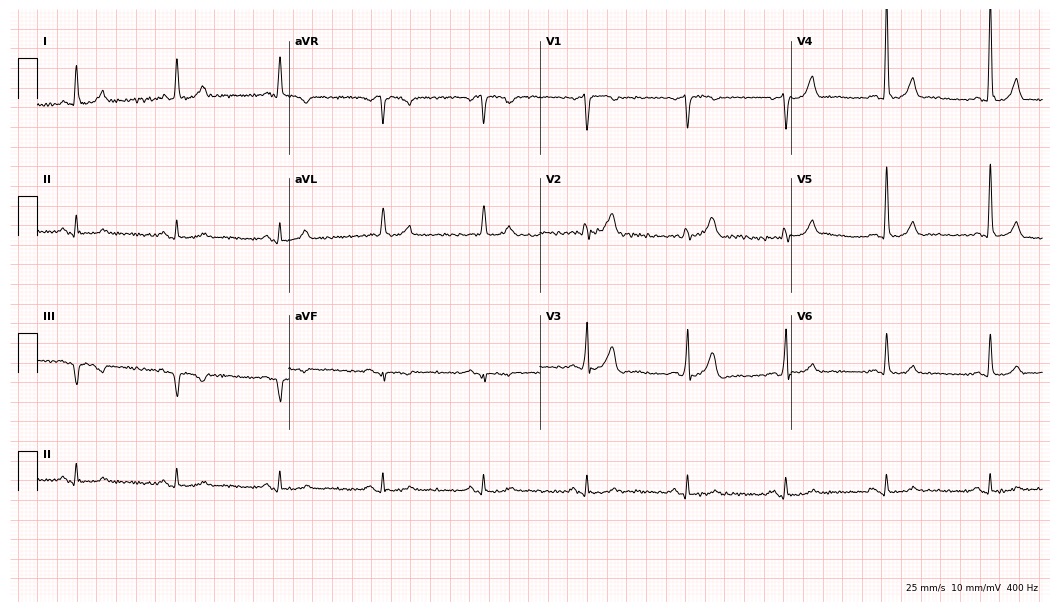
Electrocardiogram (10.2-second recording at 400 Hz), a male, 58 years old. Overall reading on record: normal ECG.